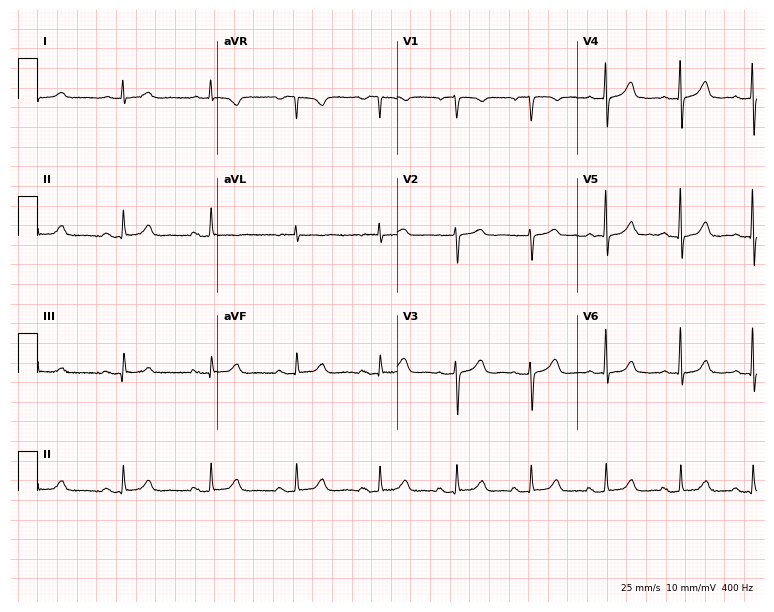
Electrocardiogram (7.3-second recording at 400 Hz), a woman, 82 years old. Overall reading on record: normal ECG.